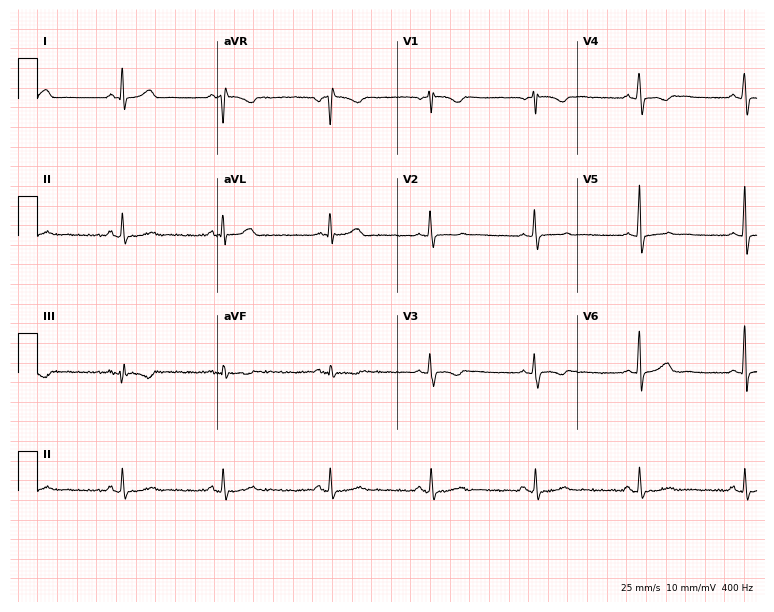
Standard 12-lead ECG recorded from a woman, 30 years old (7.3-second recording at 400 Hz). None of these six findings is recorded: first-degree AV block, right bundle branch block, left bundle branch block, sinus bradycardia, atrial fibrillation, sinus tachycardia.